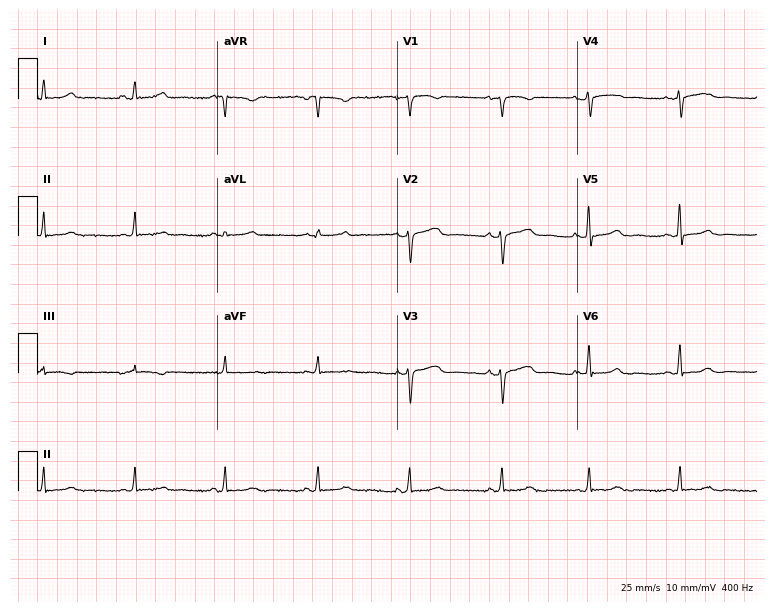
12-lead ECG from a female patient, 53 years old. No first-degree AV block, right bundle branch block (RBBB), left bundle branch block (LBBB), sinus bradycardia, atrial fibrillation (AF) or sinus tachycardia recorded for this tracing. Findings outside these six are not listed.